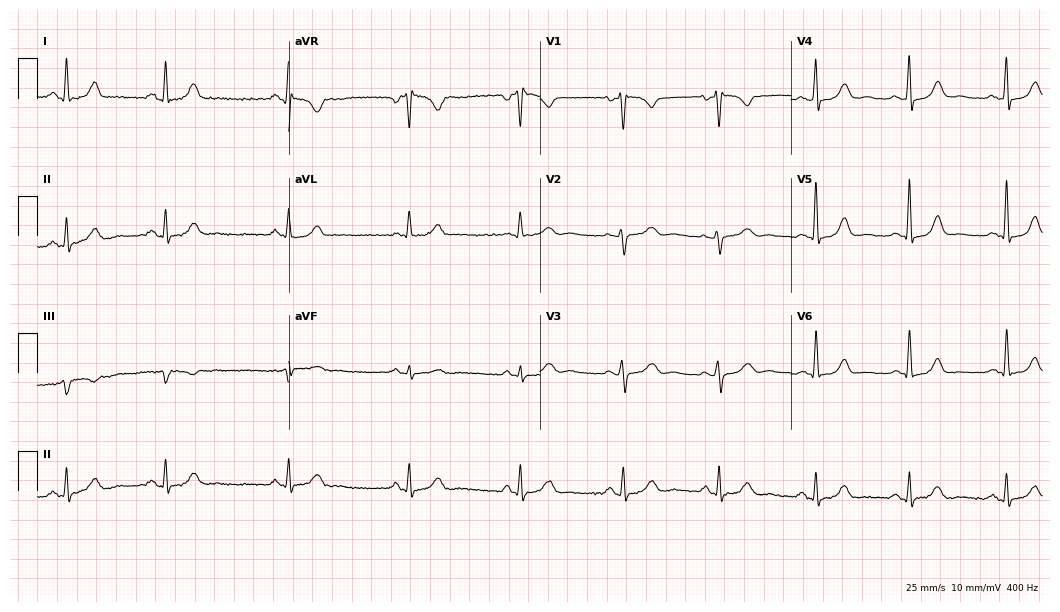
Electrocardiogram, a 44-year-old woman. Of the six screened findings (first-degree AV block, right bundle branch block (RBBB), left bundle branch block (LBBB), sinus bradycardia, atrial fibrillation (AF), sinus tachycardia), none is recorded. Only these six findings were labelled.